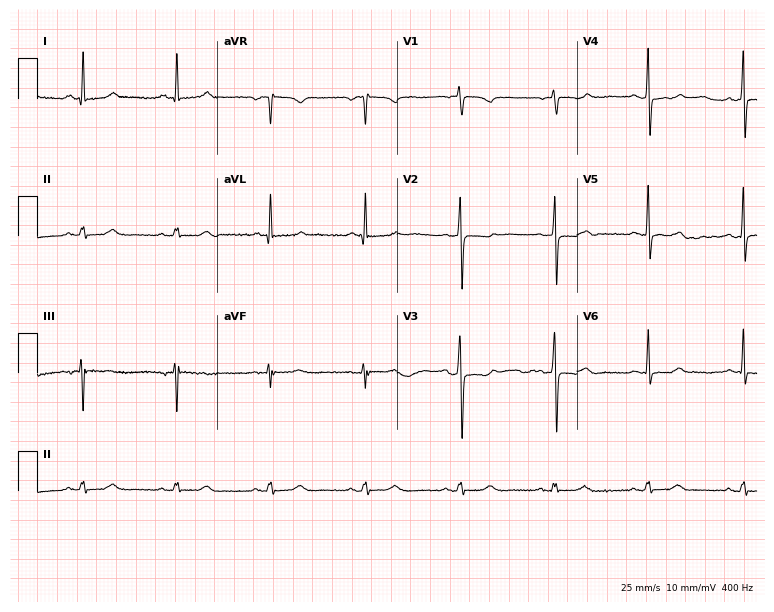
Electrocardiogram (7.3-second recording at 400 Hz), a female, 68 years old. Of the six screened findings (first-degree AV block, right bundle branch block, left bundle branch block, sinus bradycardia, atrial fibrillation, sinus tachycardia), none is recorded.